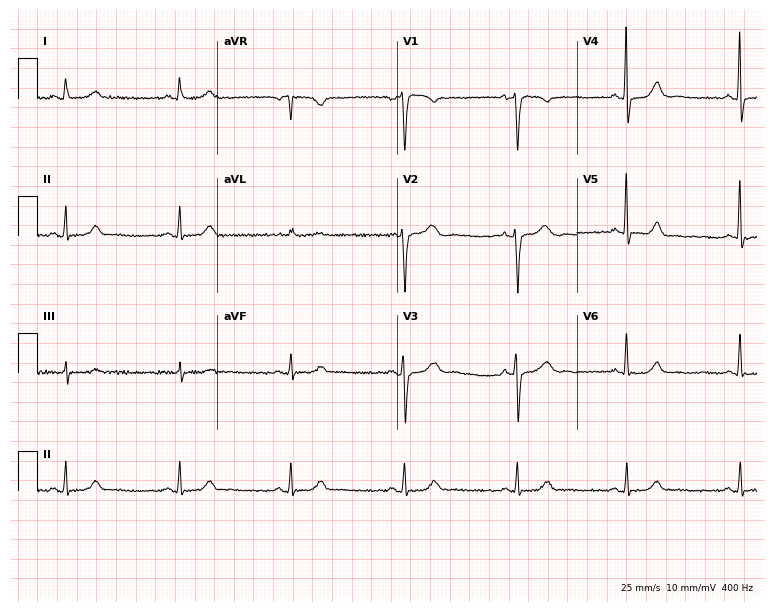
ECG (7.3-second recording at 400 Hz) — a woman, 54 years old. Screened for six findings — first-degree AV block, right bundle branch block, left bundle branch block, sinus bradycardia, atrial fibrillation, sinus tachycardia — none is recorded.